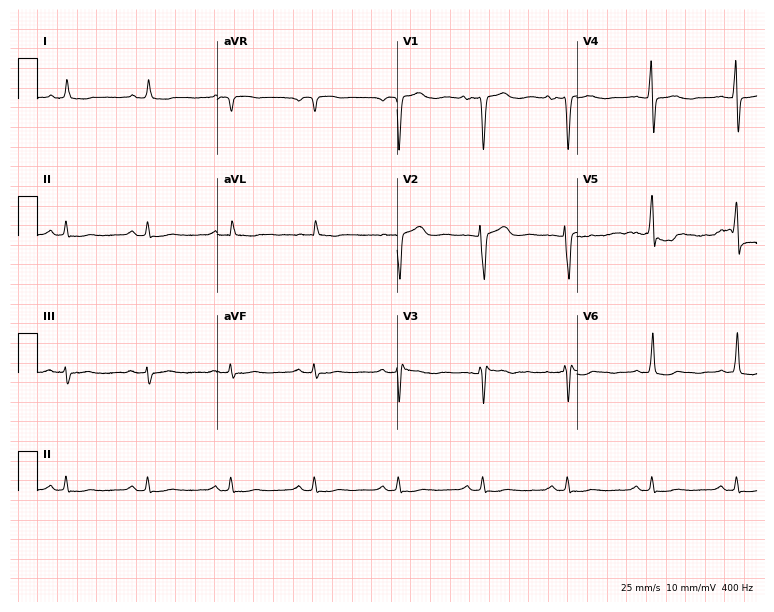
ECG (7.3-second recording at 400 Hz) — a 79-year-old man. Screened for six findings — first-degree AV block, right bundle branch block, left bundle branch block, sinus bradycardia, atrial fibrillation, sinus tachycardia — none is recorded. Other findings, if any, are not listed.